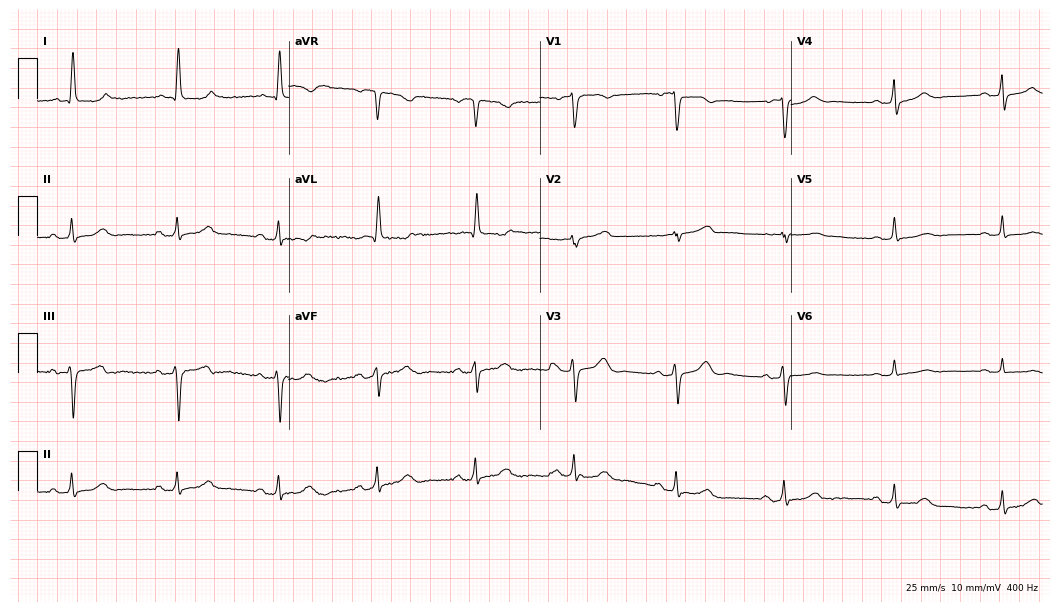
Standard 12-lead ECG recorded from a woman, 71 years old. None of these six findings is recorded: first-degree AV block, right bundle branch block, left bundle branch block, sinus bradycardia, atrial fibrillation, sinus tachycardia. Other findings, if any, are not listed.